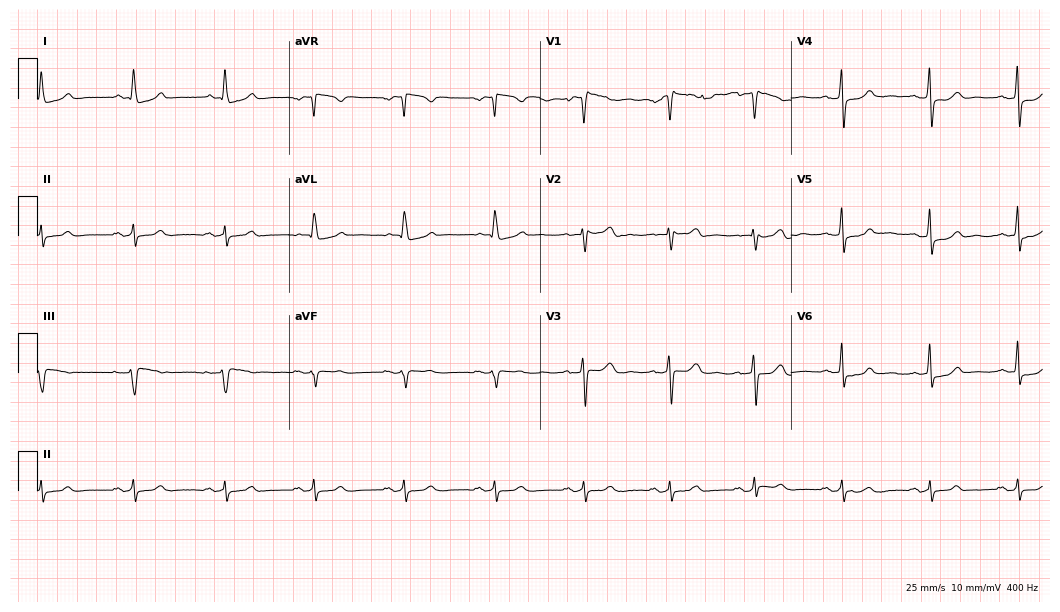
Electrocardiogram (10.2-second recording at 400 Hz), a female, 55 years old. Of the six screened findings (first-degree AV block, right bundle branch block, left bundle branch block, sinus bradycardia, atrial fibrillation, sinus tachycardia), none is recorded.